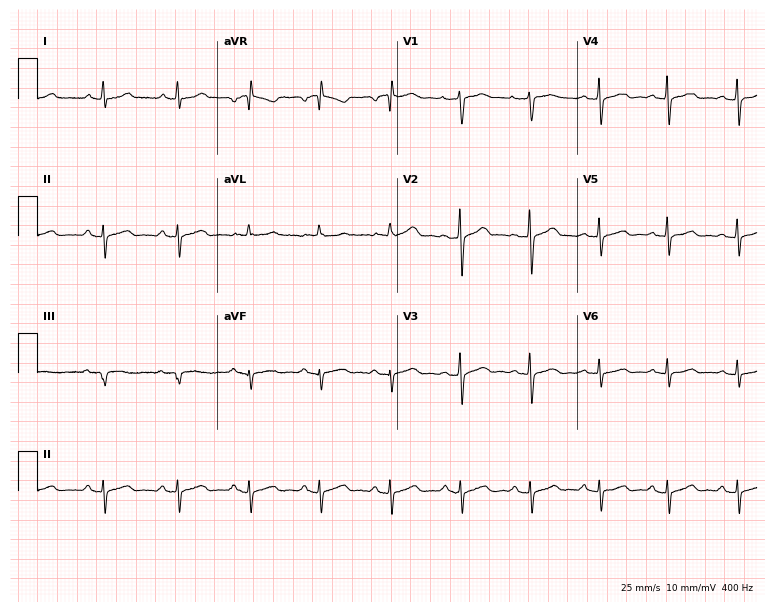
12-lead ECG from a woman, 45 years old. No first-degree AV block, right bundle branch block (RBBB), left bundle branch block (LBBB), sinus bradycardia, atrial fibrillation (AF) or sinus tachycardia recorded for this tracing.